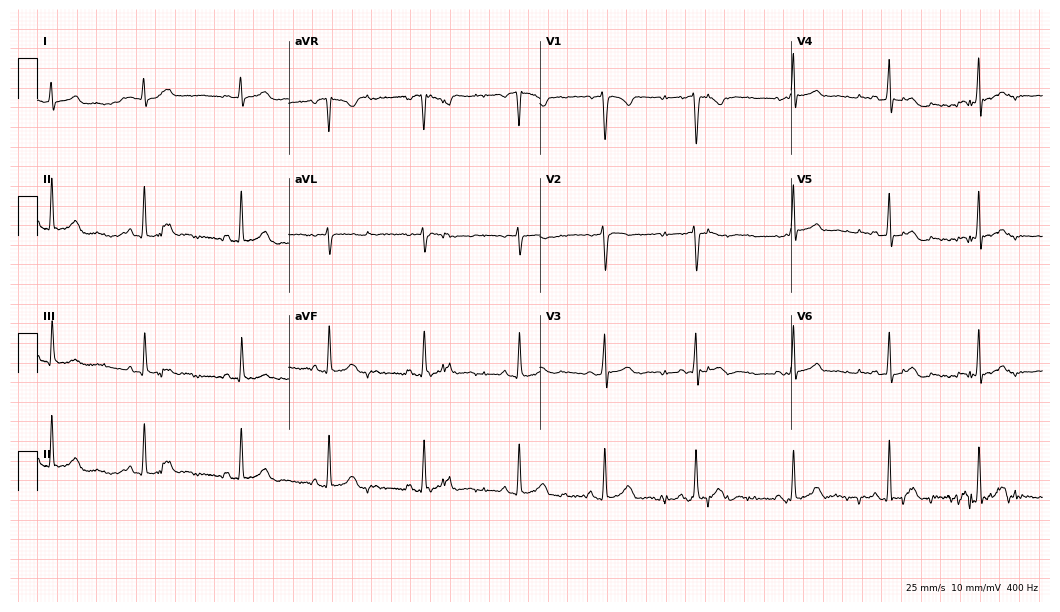
Resting 12-lead electrocardiogram. Patient: a woman, 17 years old. Read as a normal ECG.